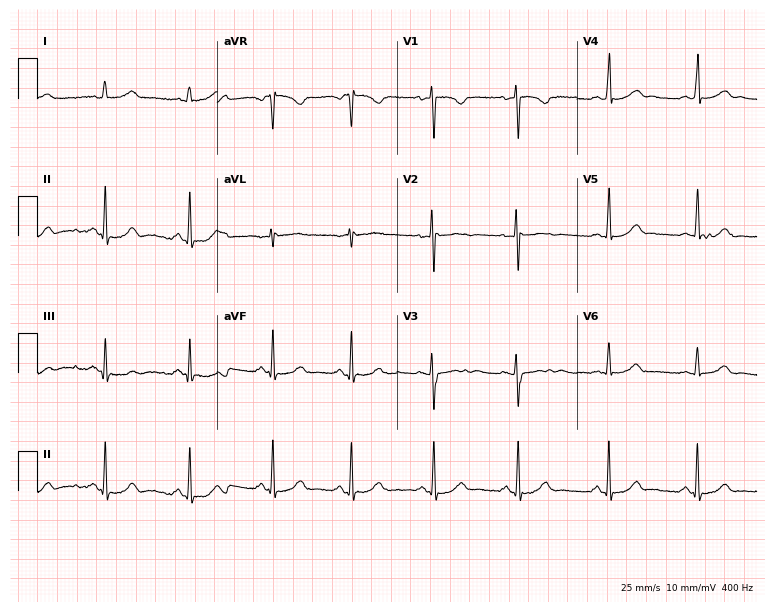
ECG — a 26-year-old female. Labelled as a normal ECG.